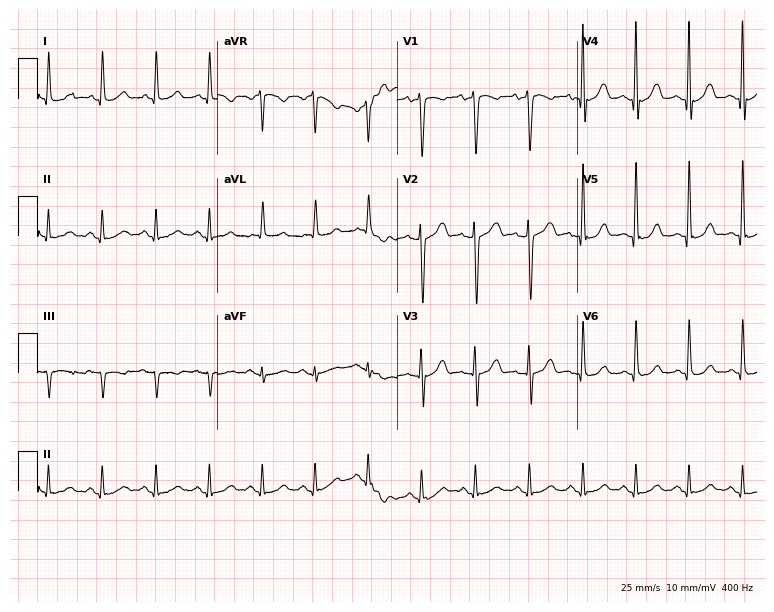
Standard 12-lead ECG recorded from a male, 51 years old (7.3-second recording at 400 Hz). The tracing shows sinus tachycardia (a sinus rate of 100 beats per minute or more).